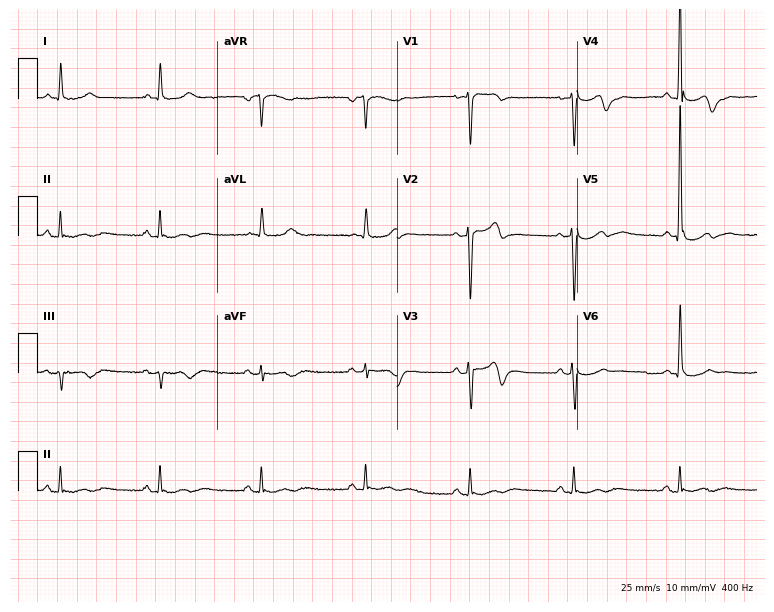
12-lead ECG from a 74-year-old man. Screened for six findings — first-degree AV block, right bundle branch block, left bundle branch block, sinus bradycardia, atrial fibrillation, sinus tachycardia — none is recorded. Findings outside these six are not listed.